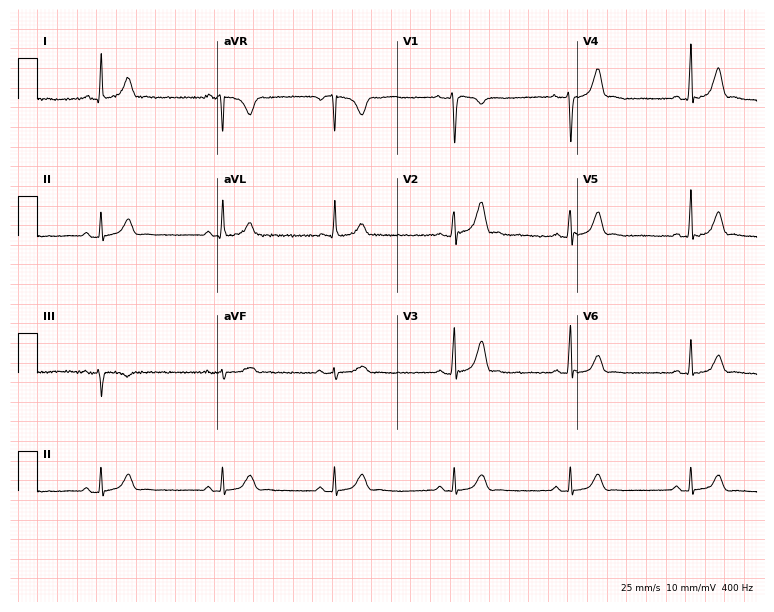
ECG — a female, 32 years old. Findings include sinus bradycardia (a sinus rate of 50 beats per minute or less).